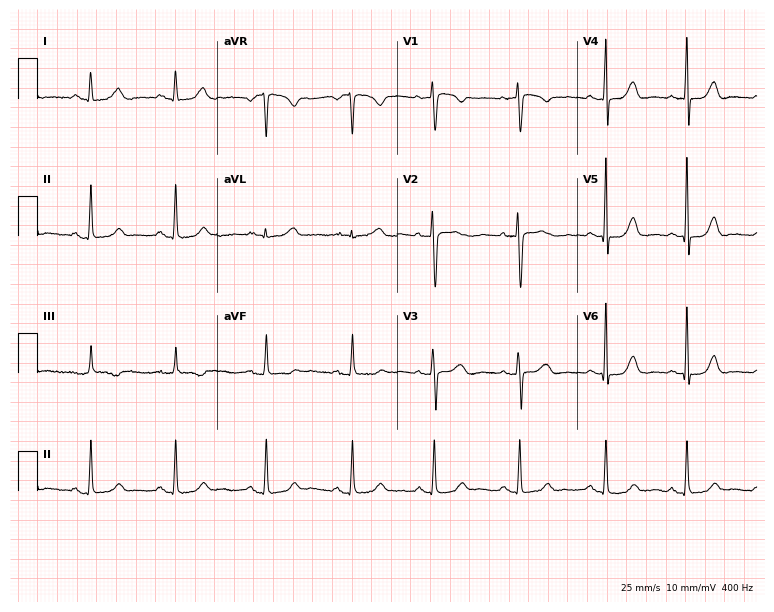
Standard 12-lead ECG recorded from a 30-year-old female patient (7.3-second recording at 400 Hz). Read as a normal ECG.